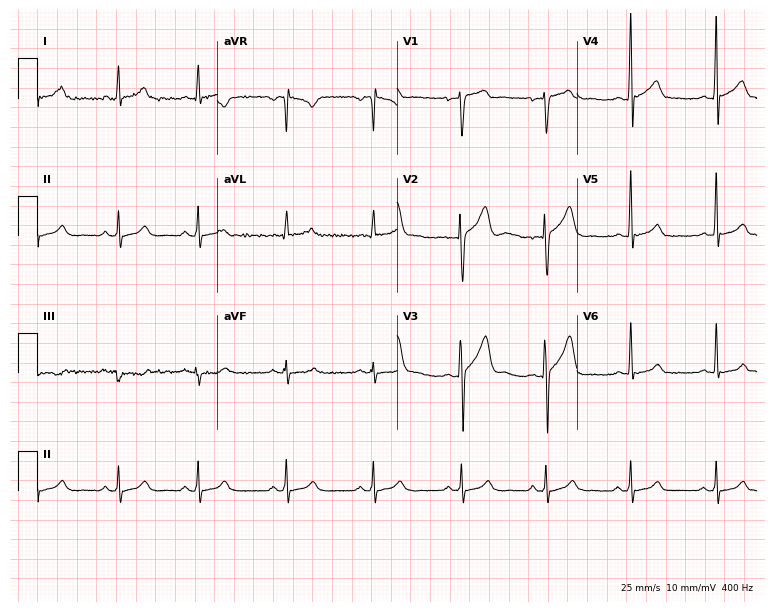
Standard 12-lead ECG recorded from a 23-year-old man. None of these six findings is recorded: first-degree AV block, right bundle branch block (RBBB), left bundle branch block (LBBB), sinus bradycardia, atrial fibrillation (AF), sinus tachycardia. Other findings, if any, are not listed.